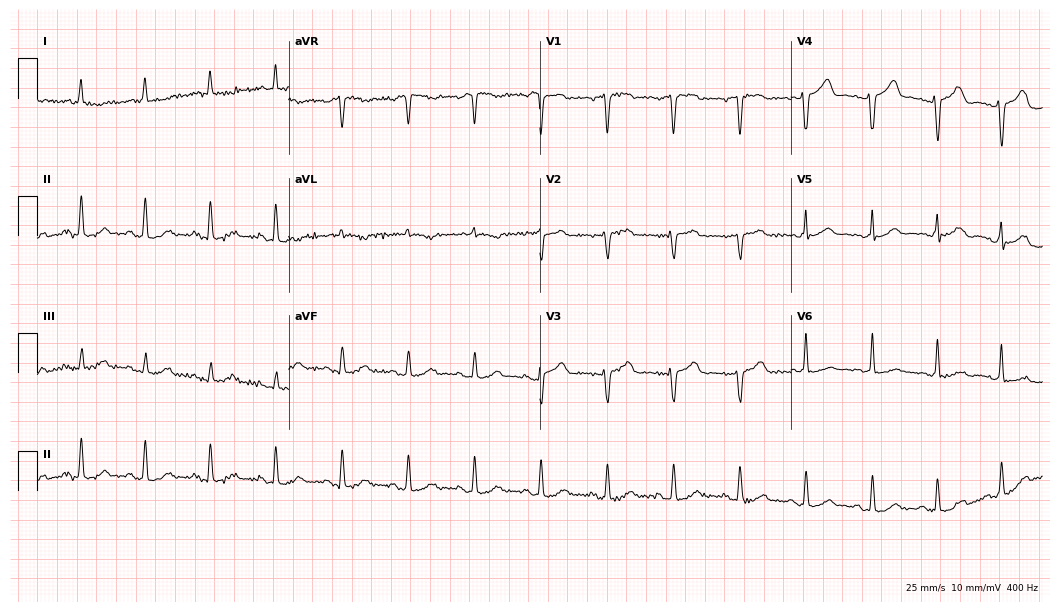
ECG (10.2-second recording at 400 Hz) — a 56-year-old woman. Screened for six findings — first-degree AV block, right bundle branch block, left bundle branch block, sinus bradycardia, atrial fibrillation, sinus tachycardia — none is recorded.